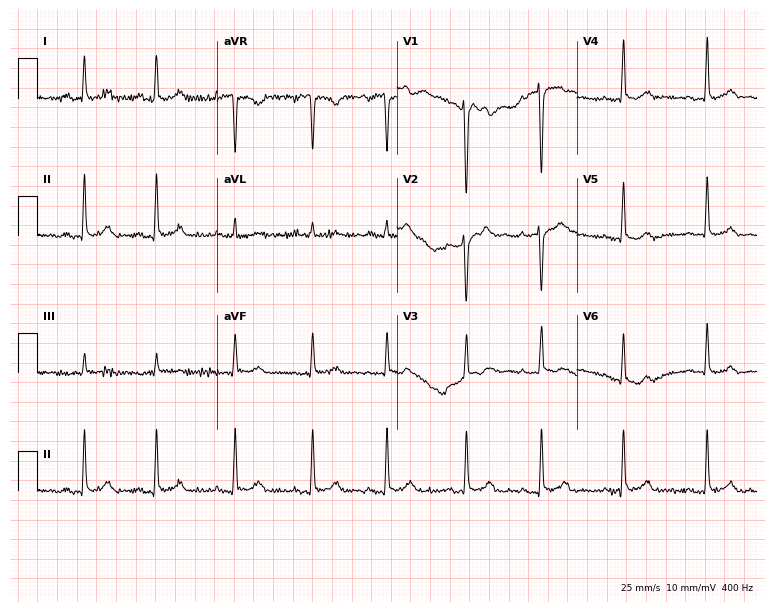
Resting 12-lead electrocardiogram (7.3-second recording at 400 Hz). Patient: a female, 31 years old. None of these six findings is recorded: first-degree AV block, right bundle branch block, left bundle branch block, sinus bradycardia, atrial fibrillation, sinus tachycardia. Only these six findings were labelled.